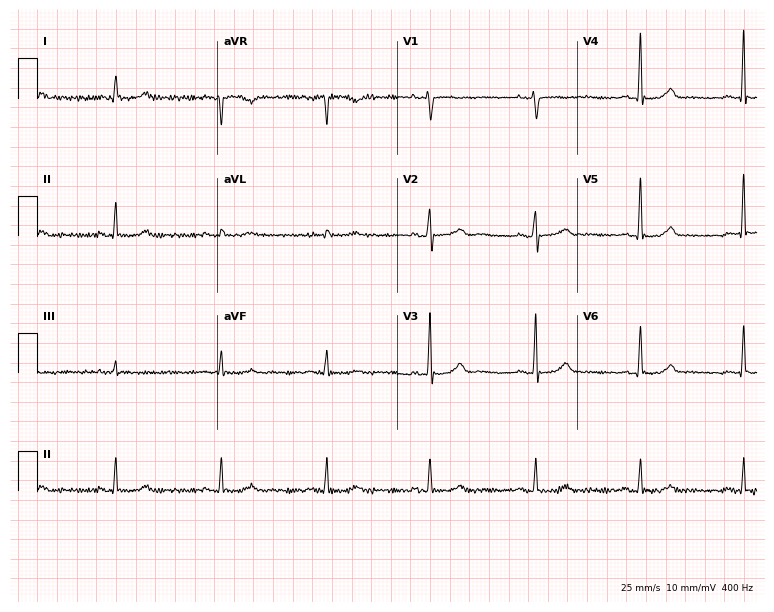
12-lead ECG from a woman, 65 years old. Labelled as a normal ECG.